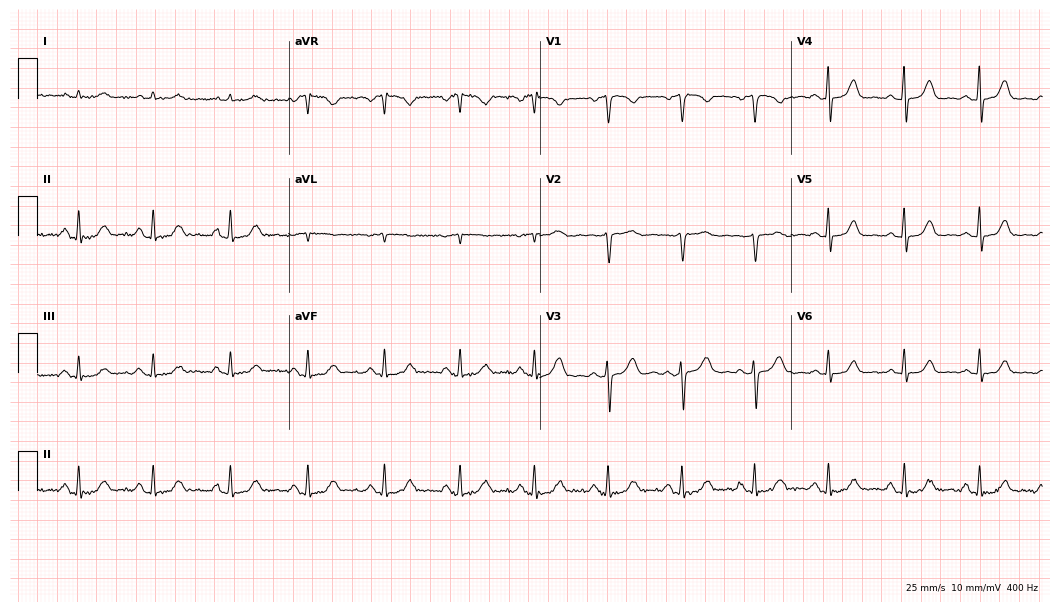
Standard 12-lead ECG recorded from a female patient, 36 years old (10.2-second recording at 400 Hz). None of these six findings is recorded: first-degree AV block, right bundle branch block, left bundle branch block, sinus bradycardia, atrial fibrillation, sinus tachycardia.